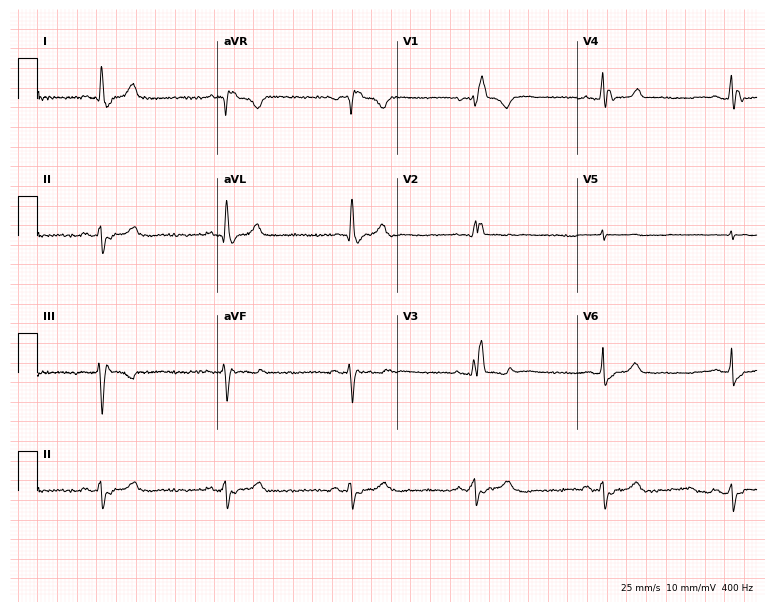
Resting 12-lead electrocardiogram. Patient: an 80-year-old woman. The tracing shows right bundle branch block, sinus bradycardia (a sinus rate of 50 beats per minute or less).